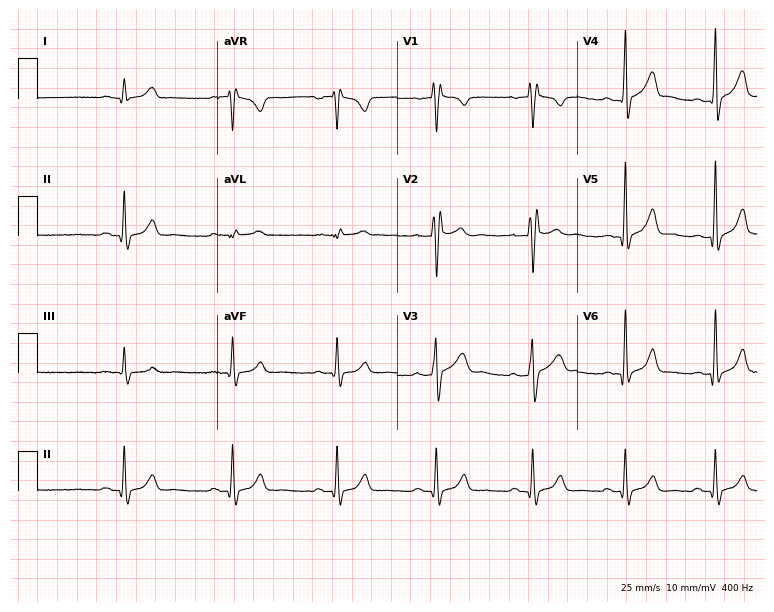
Electrocardiogram, a 26-year-old male. Of the six screened findings (first-degree AV block, right bundle branch block, left bundle branch block, sinus bradycardia, atrial fibrillation, sinus tachycardia), none is recorded. Other findings, if any, are not listed.